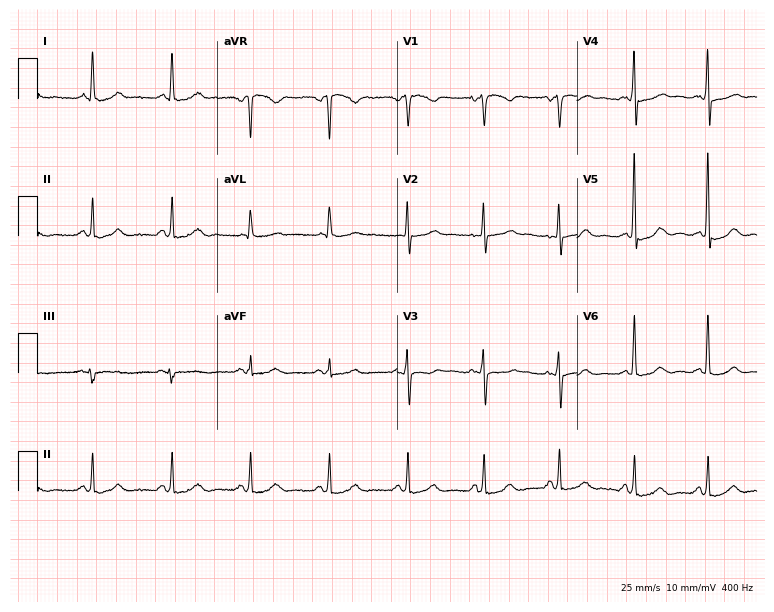
12-lead ECG from a female patient, 61 years old (7.3-second recording at 400 Hz). Recorded interpretation: within normal limits.